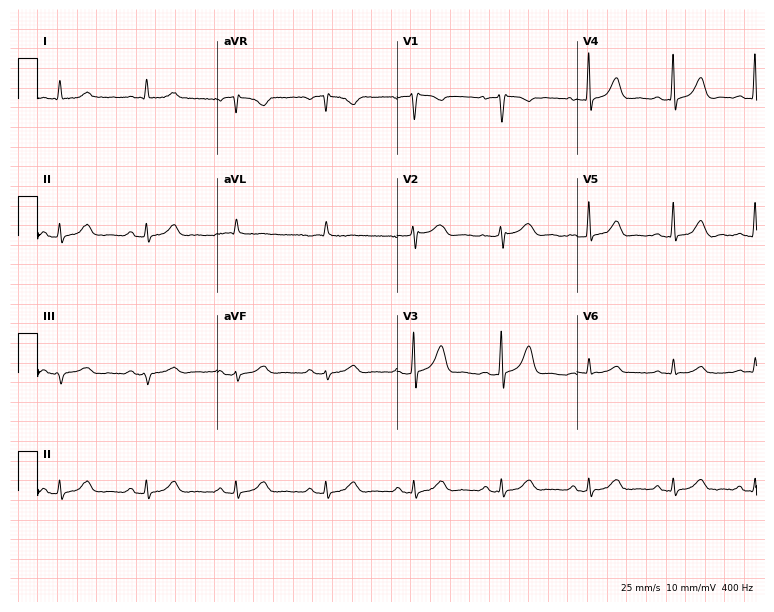
Electrocardiogram, a man, 72 years old. Of the six screened findings (first-degree AV block, right bundle branch block, left bundle branch block, sinus bradycardia, atrial fibrillation, sinus tachycardia), none is recorded.